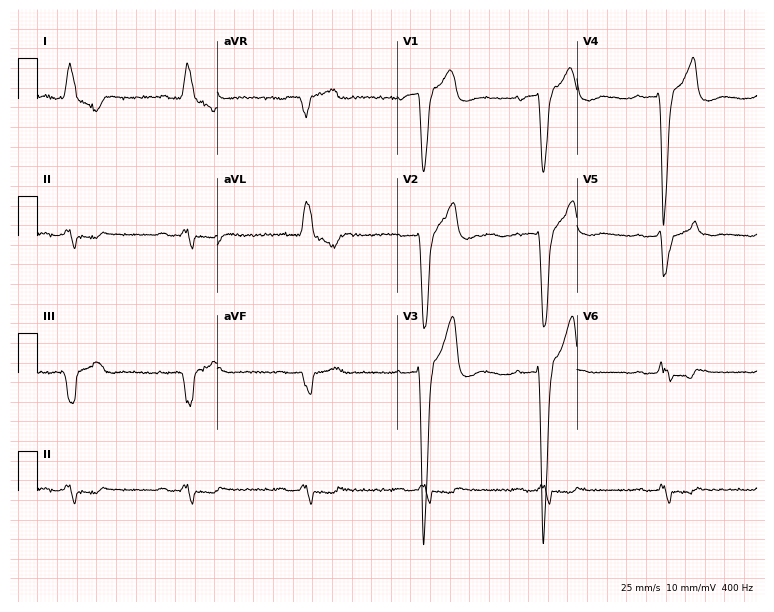
Standard 12-lead ECG recorded from a man, 85 years old (7.3-second recording at 400 Hz). The tracing shows first-degree AV block, left bundle branch block (LBBB), sinus bradycardia (a sinus rate of 50 beats per minute or less).